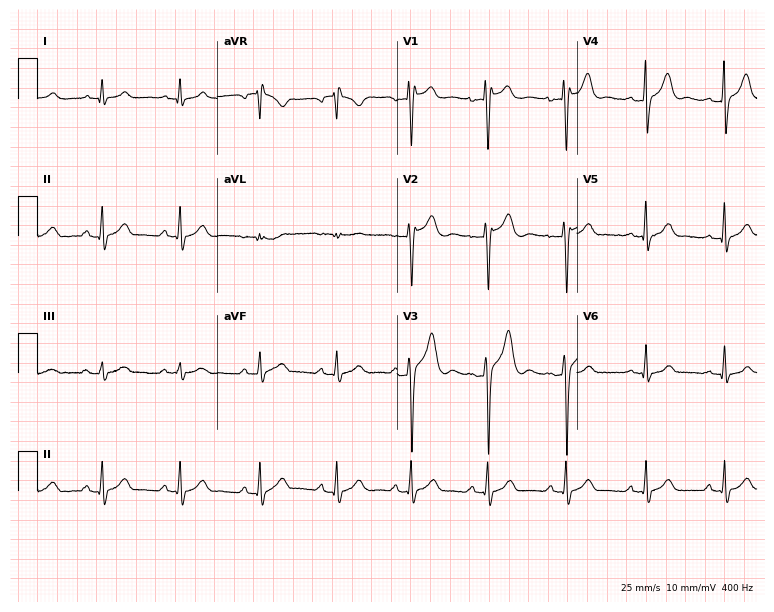
Resting 12-lead electrocardiogram (7.3-second recording at 400 Hz). Patient: a 22-year-old man. None of these six findings is recorded: first-degree AV block, right bundle branch block, left bundle branch block, sinus bradycardia, atrial fibrillation, sinus tachycardia.